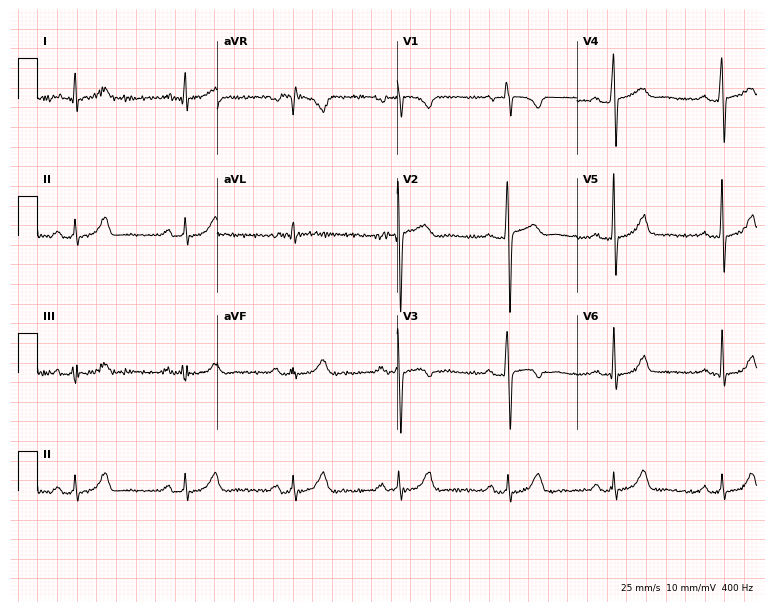
Standard 12-lead ECG recorded from a male, 33 years old (7.3-second recording at 400 Hz). Read as a normal ECG.